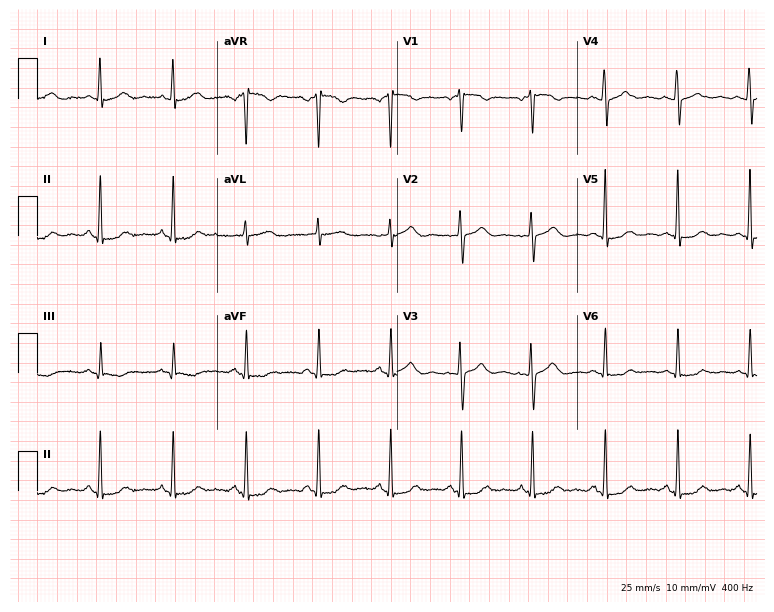
Standard 12-lead ECG recorded from a female patient, 69 years old (7.3-second recording at 400 Hz). None of these six findings is recorded: first-degree AV block, right bundle branch block, left bundle branch block, sinus bradycardia, atrial fibrillation, sinus tachycardia.